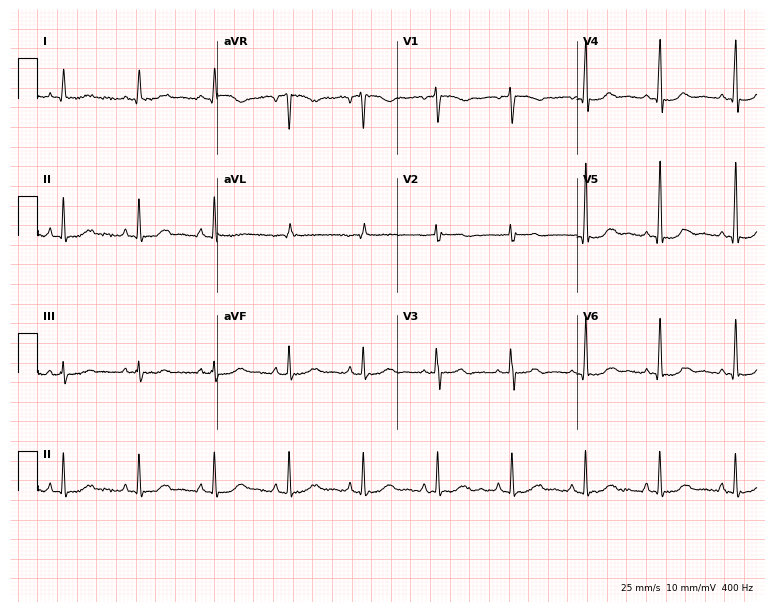
Standard 12-lead ECG recorded from a female, 66 years old (7.3-second recording at 400 Hz). Read as a normal ECG.